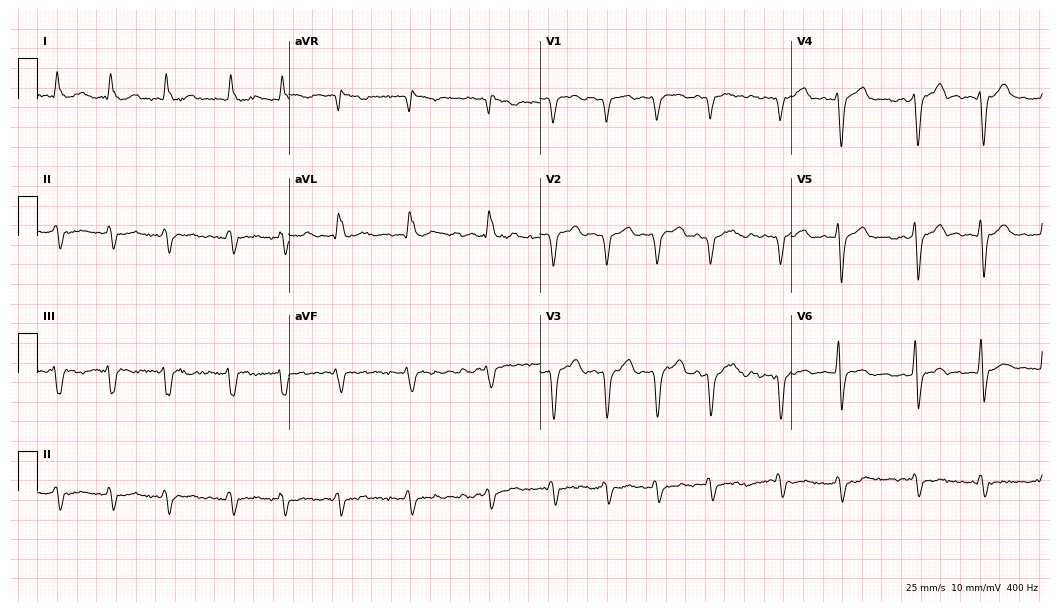
12-lead ECG (10.2-second recording at 400 Hz) from a 77-year-old male patient. Screened for six findings — first-degree AV block, right bundle branch block, left bundle branch block, sinus bradycardia, atrial fibrillation, sinus tachycardia — none is recorded.